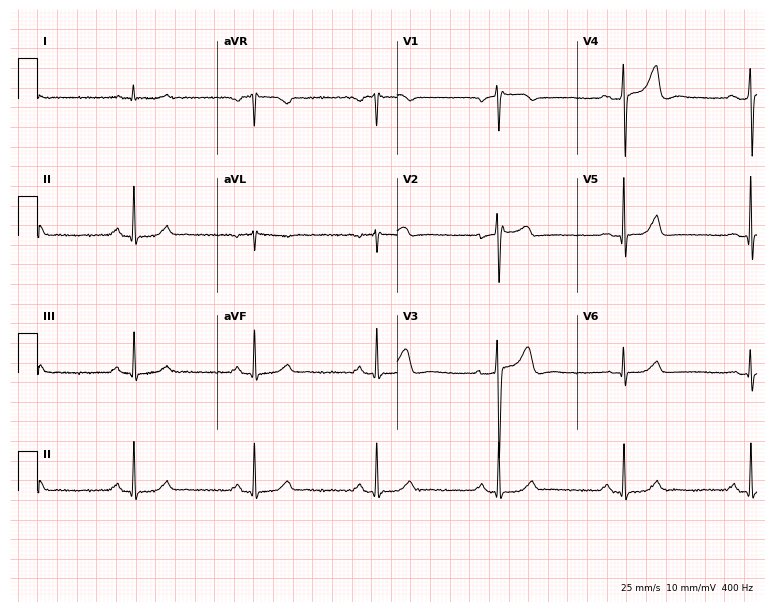
ECG — a 62-year-old male. Screened for six findings — first-degree AV block, right bundle branch block, left bundle branch block, sinus bradycardia, atrial fibrillation, sinus tachycardia — none is recorded. Other findings, if any, are not listed.